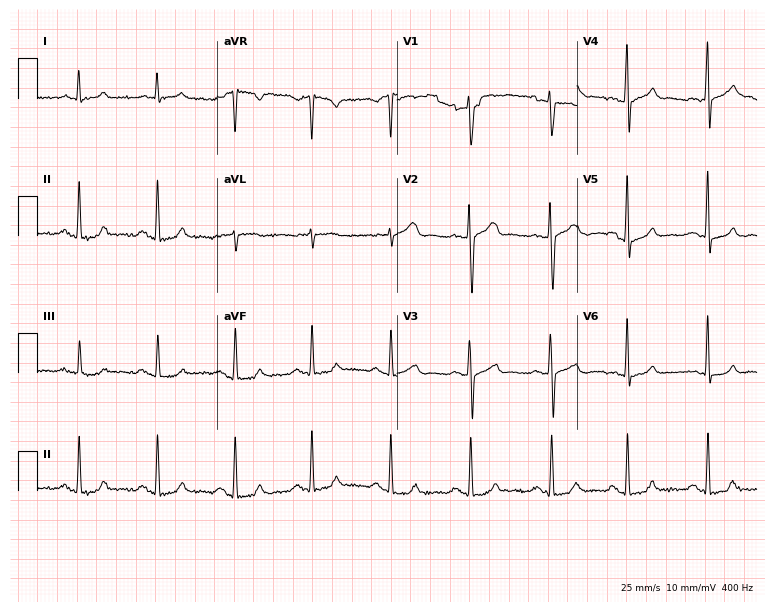
12-lead ECG from a 47-year-old male (7.3-second recording at 400 Hz). Recorded interpretation: within normal limits.